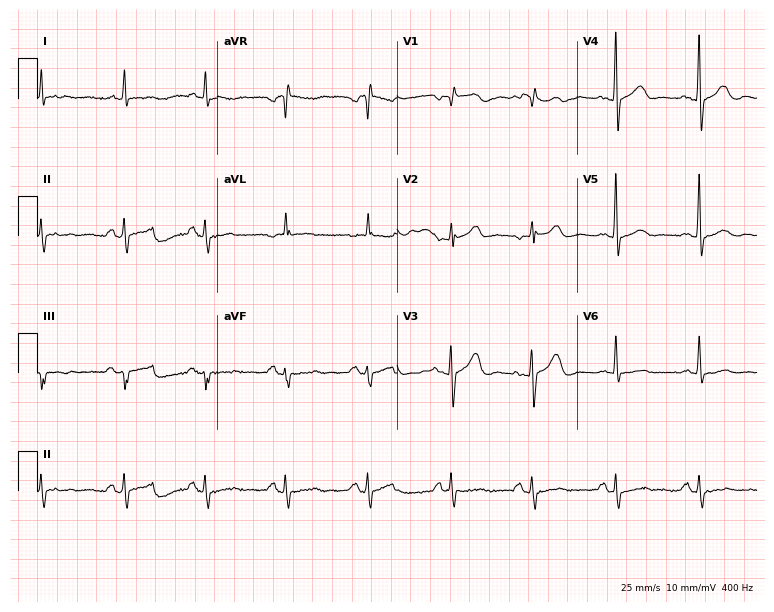
Resting 12-lead electrocardiogram. Patient: a man, 80 years old. None of these six findings is recorded: first-degree AV block, right bundle branch block, left bundle branch block, sinus bradycardia, atrial fibrillation, sinus tachycardia. Findings outside these six are not listed.